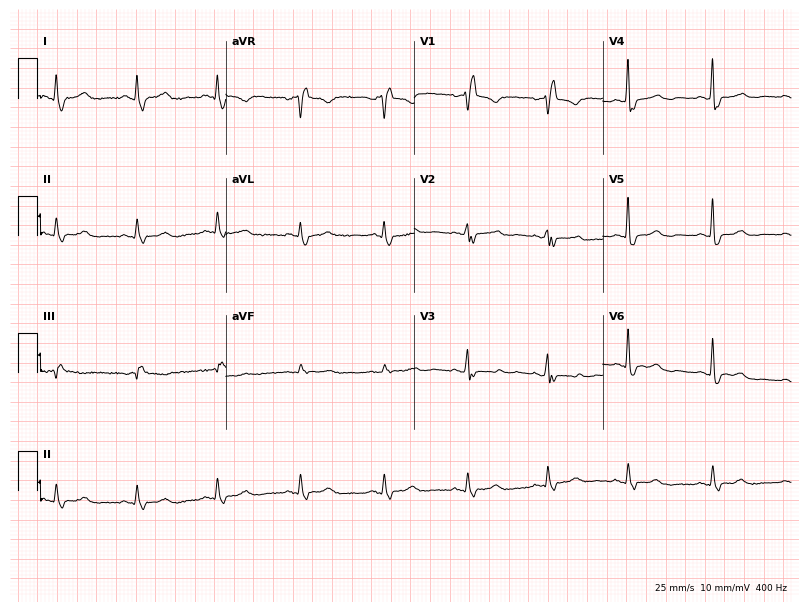
Standard 12-lead ECG recorded from a 72-year-old female (7.7-second recording at 400 Hz). None of these six findings is recorded: first-degree AV block, right bundle branch block, left bundle branch block, sinus bradycardia, atrial fibrillation, sinus tachycardia. Only these six findings were labelled.